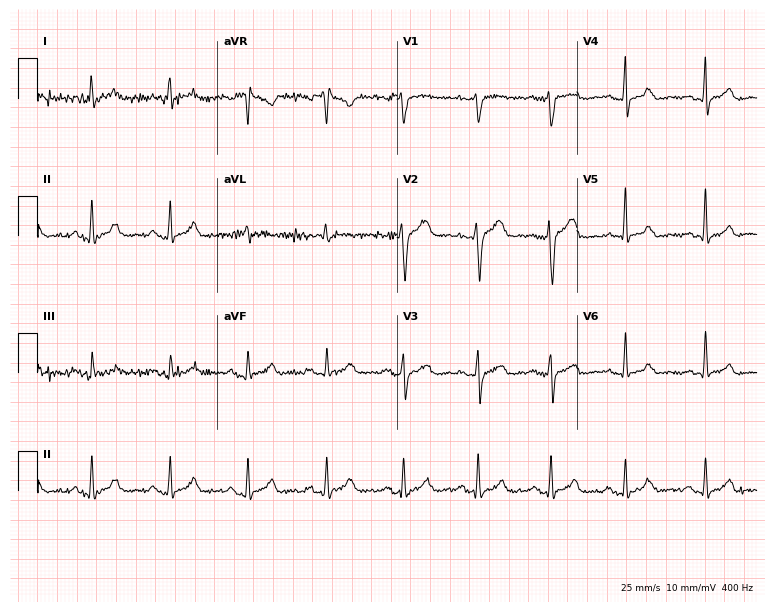
Electrocardiogram, a man, 30 years old. Overall reading on record: normal ECG.